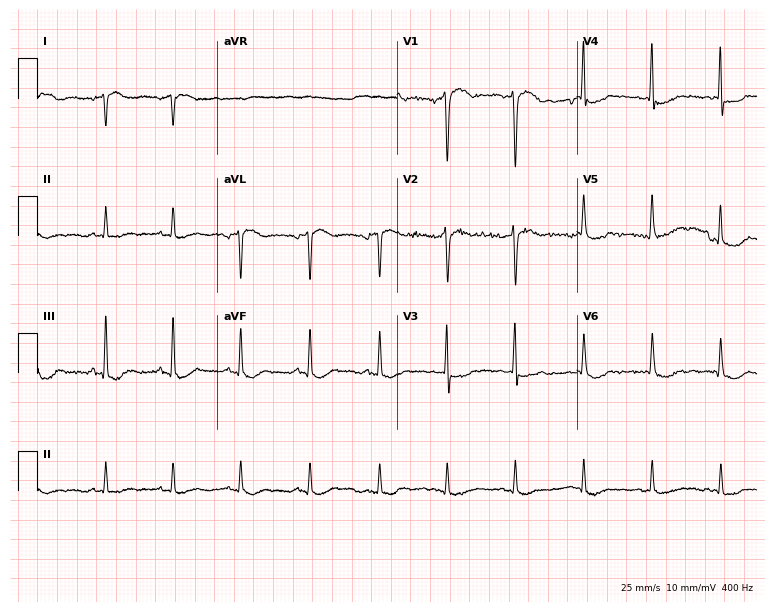
12-lead ECG from a female patient, 85 years old. No first-degree AV block, right bundle branch block, left bundle branch block, sinus bradycardia, atrial fibrillation or sinus tachycardia recorded for this tracing.